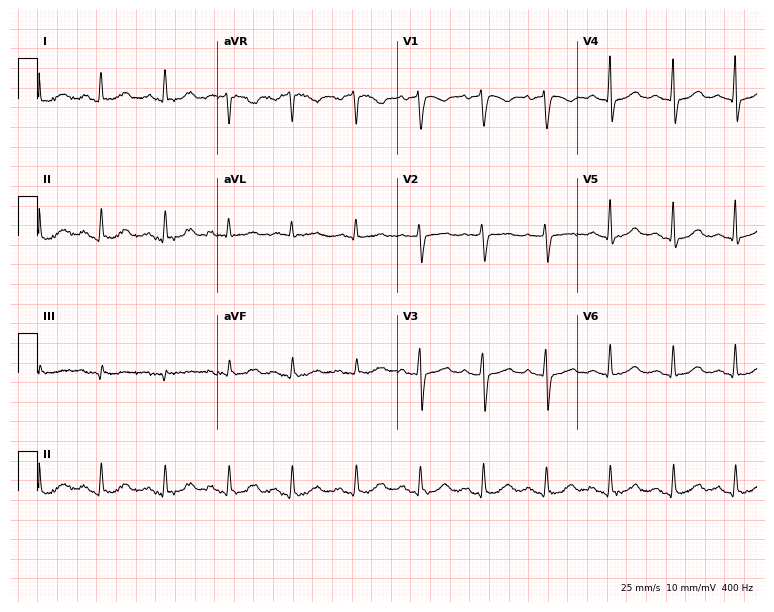
Electrocardiogram (7.3-second recording at 400 Hz), a man, 71 years old. Of the six screened findings (first-degree AV block, right bundle branch block, left bundle branch block, sinus bradycardia, atrial fibrillation, sinus tachycardia), none is recorded.